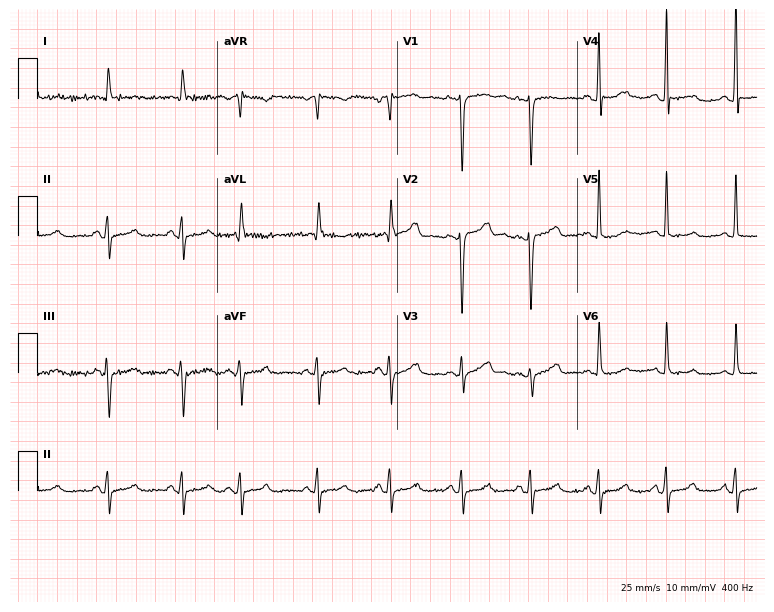
12-lead ECG (7.3-second recording at 400 Hz) from a female patient, 69 years old. Screened for six findings — first-degree AV block, right bundle branch block, left bundle branch block, sinus bradycardia, atrial fibrillation, sinus tachycardia — none is recorded. Findings outside these six are not listed.